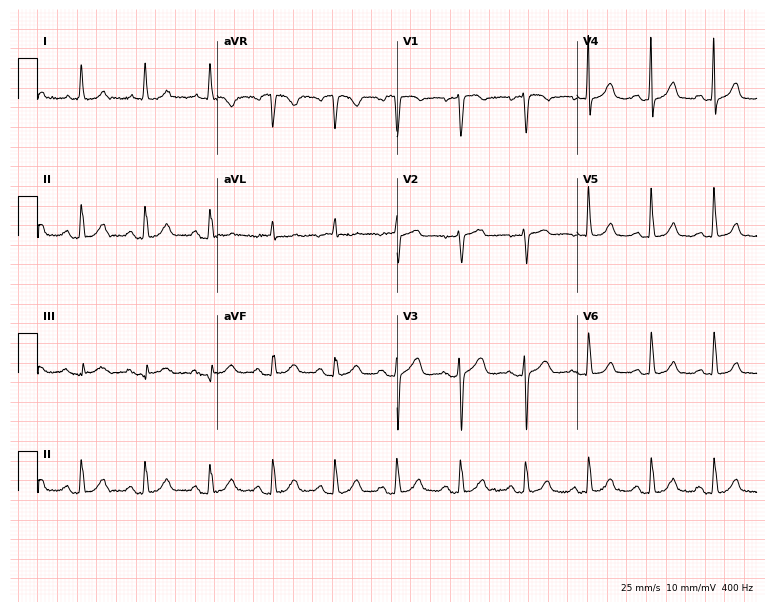
Resting 12-lead electrocardiogram. Patient: a 64-year-old woman. Read as a normal ECG.